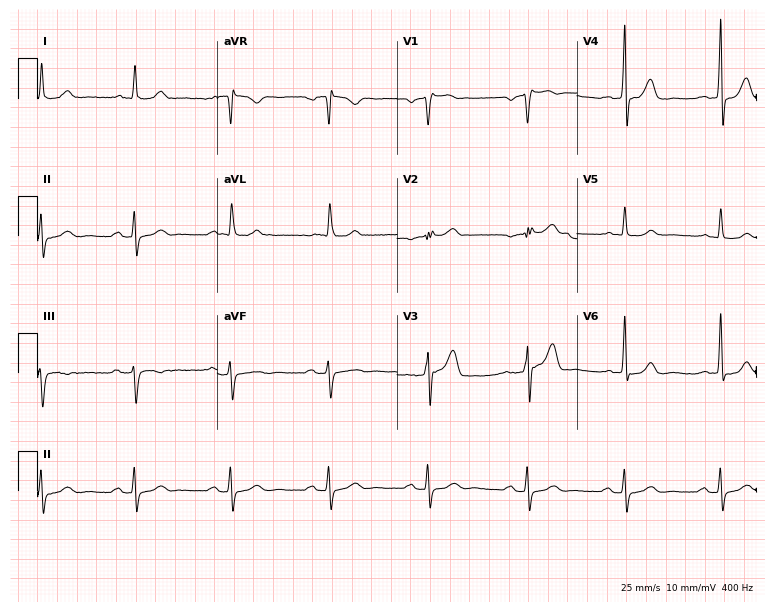
12-lead ECG from a man, 69 years old. Screened for six findings — first-degree AV block, right bundle branch block, left bundle branch block, sinus bradycardia, atrial fibrillation, sinus tachycardia — none is recorded. Findings outside these six are not listed.